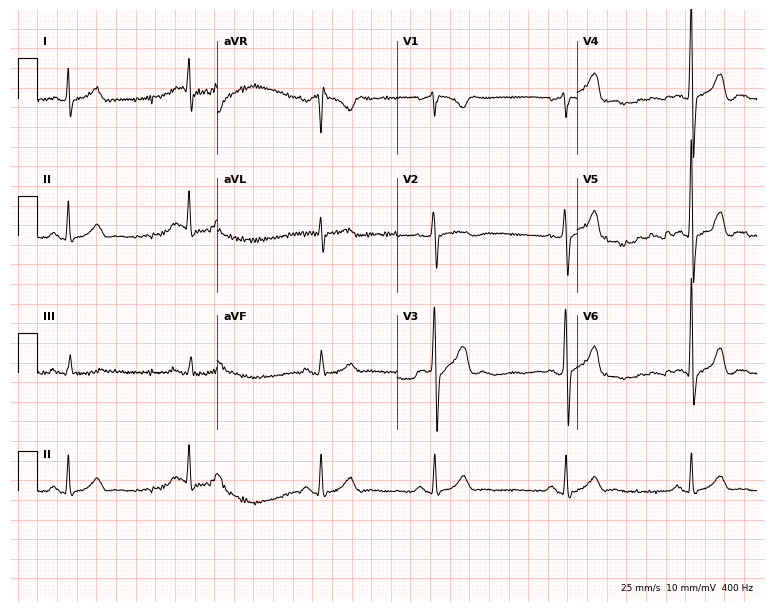
ECG — a male patient, 33 years old. Findings include sinus bradycardia (a sinus rate of 50 beats per minute or less).